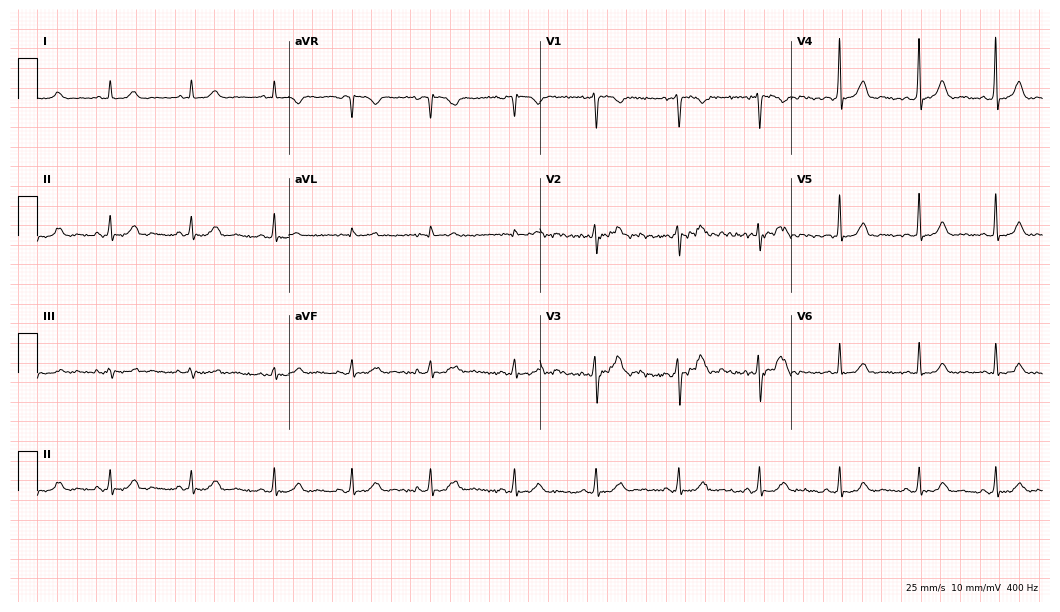
Standard 12-lead ECG recorded from a female, 20 years old (10.2-second recording at 400 Hz). Read as a normal ECG.